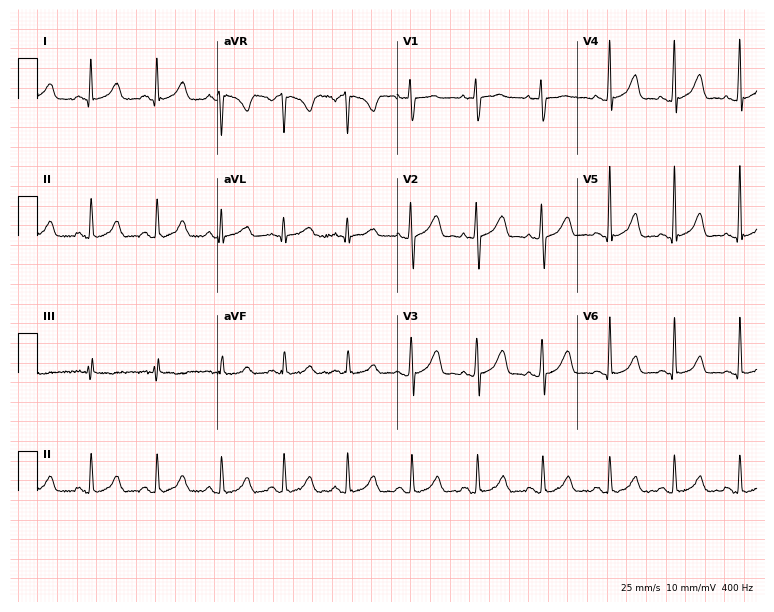
ECG (7.3-second recording at 400 Hz) — a female, 30 years old. Screened for six findings — first-degree AV block, right bundle branch block, left bundle branch block, sinus bradycardia, atrial fibrillation, sinus tachycardia — none is recorded.